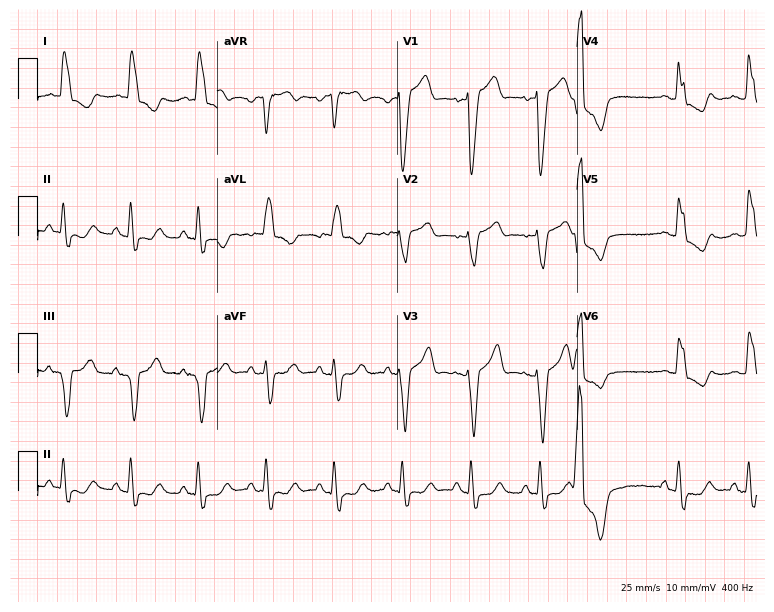
12-lead ECG from a 77-year-old male (7.3-second recording at 400 Hz). Shows left bundle branch block.